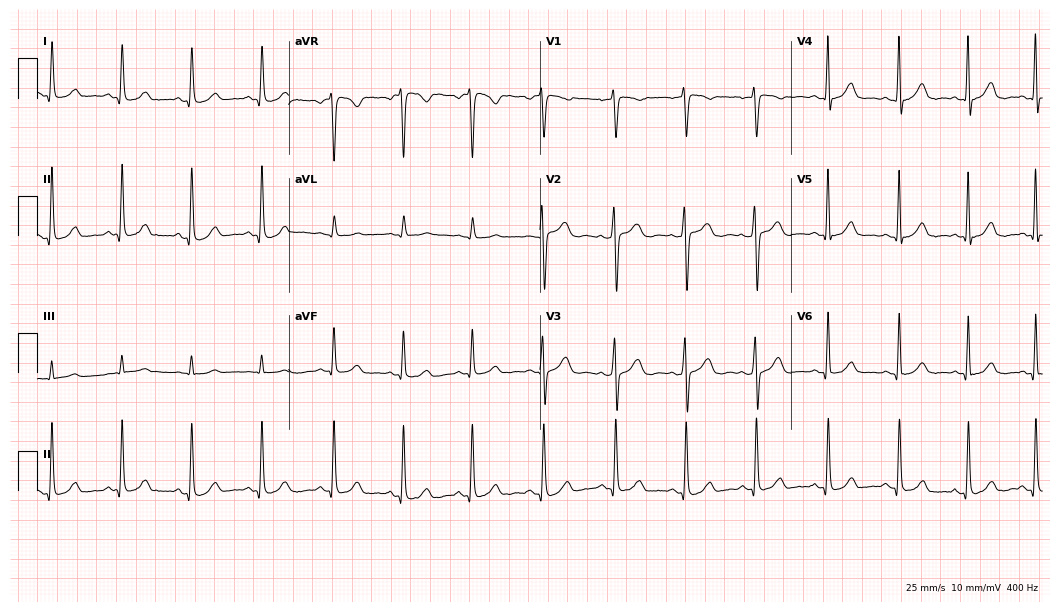
12-lead ECG from a 43-year-old female patient (10.2-second recording at 400 Hz). Recorded interpretation: within normal limits.